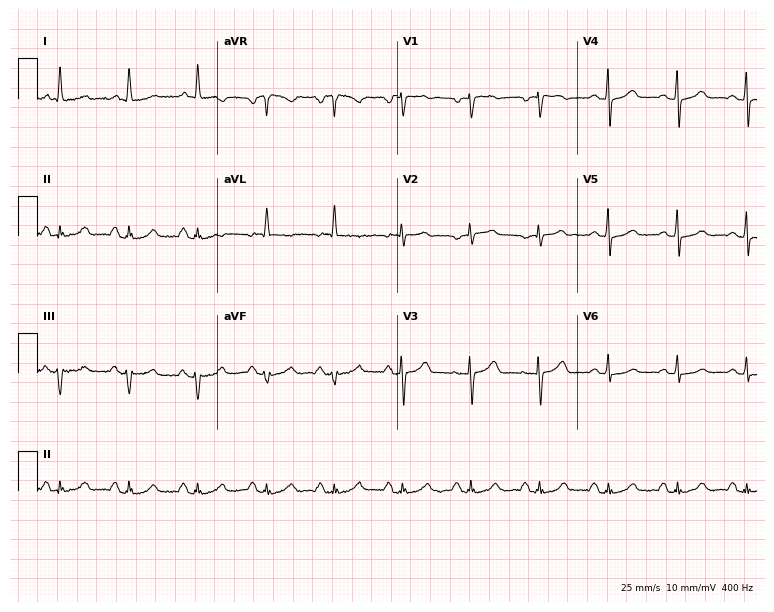
Electrocardiogram (7.3-second recording at 400 Hz), a female, 53 years old. Overall reading on record: normal ECG.